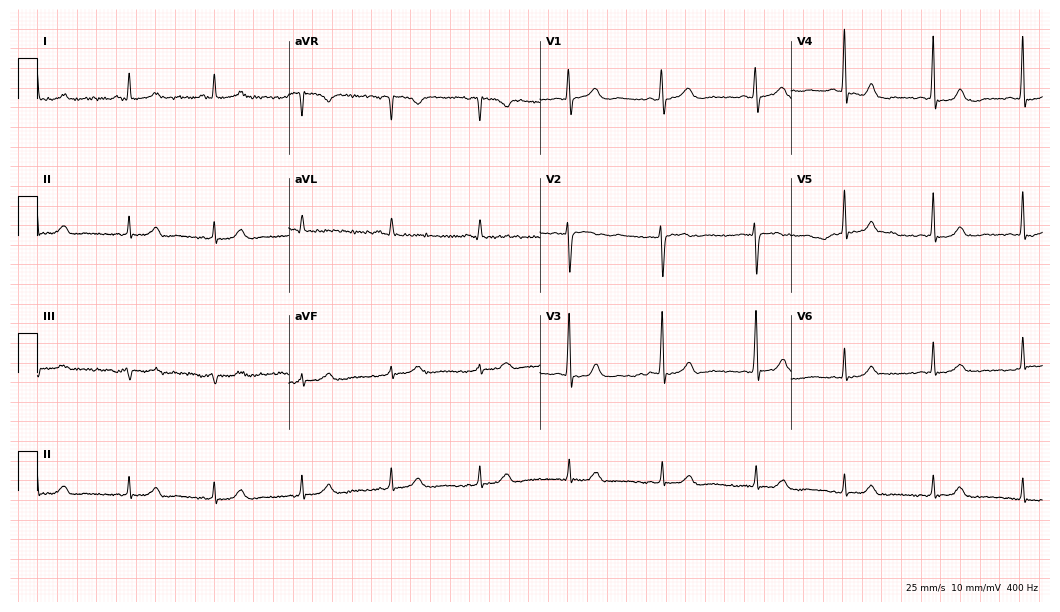
12-lead ECG (10.2-second recording at 400 Hz) from a 56-year-old female. Labelled as a normal ECG.